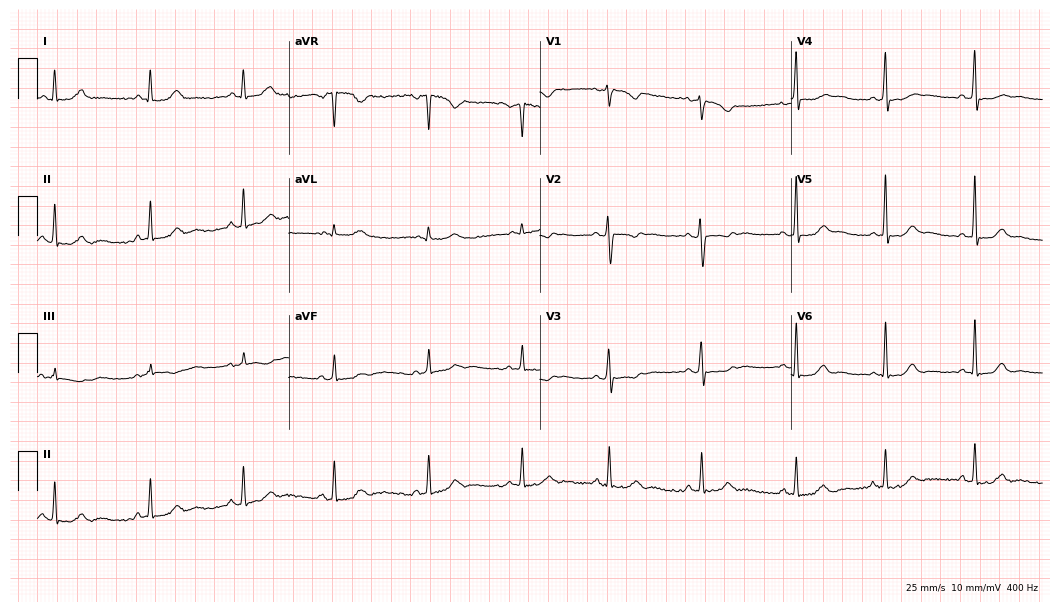
12-lead ECG from a female patient, 24 years old (10.2-second recording at 400 Hz). No first-degree AV block, right bundle branch block (RBBB), left bundle branch block (LBBB), sinus bradycardia, atrial fibrillation (AF) or sinus tachycardia recorded for this tracing. Other findings, if any, are not listed.